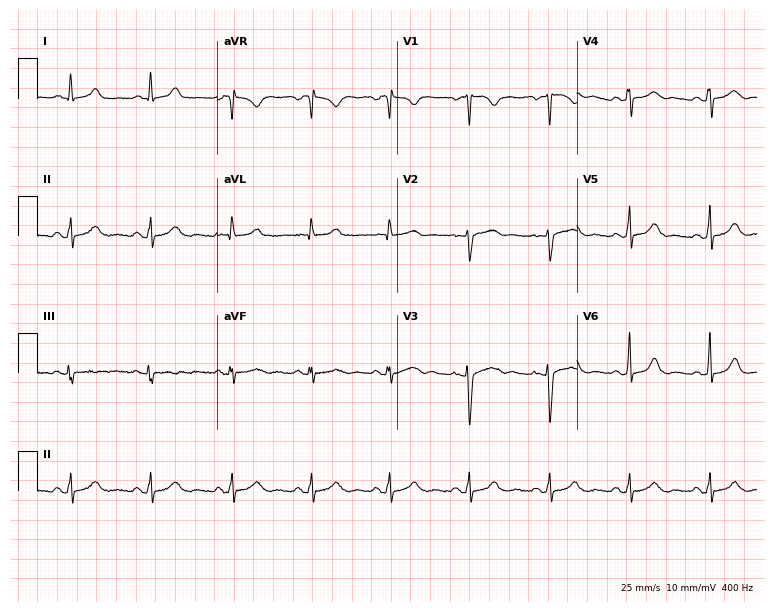
ECG — a woman, 37 years old. Labelled as a normal ECG.